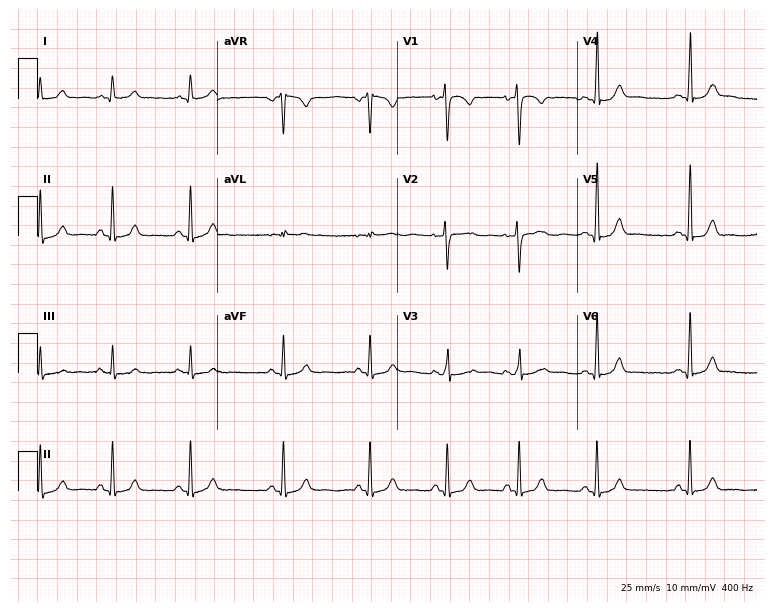
Standard 12-lead ECG recorded from a 27-year-old female patient (7.3-second recording at 400 Hz). Read as a normal ECG.